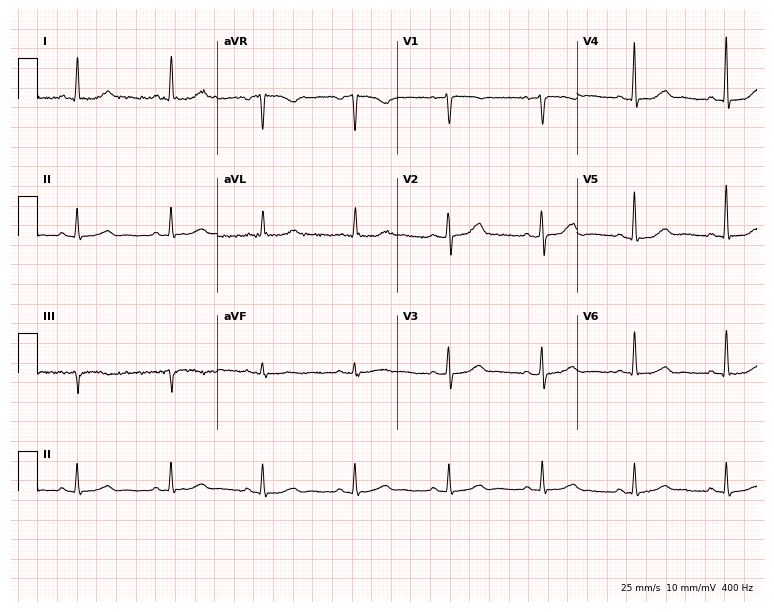
12-lead ECG from a male, 75 years old. Recorded interpretation: within normal limits.